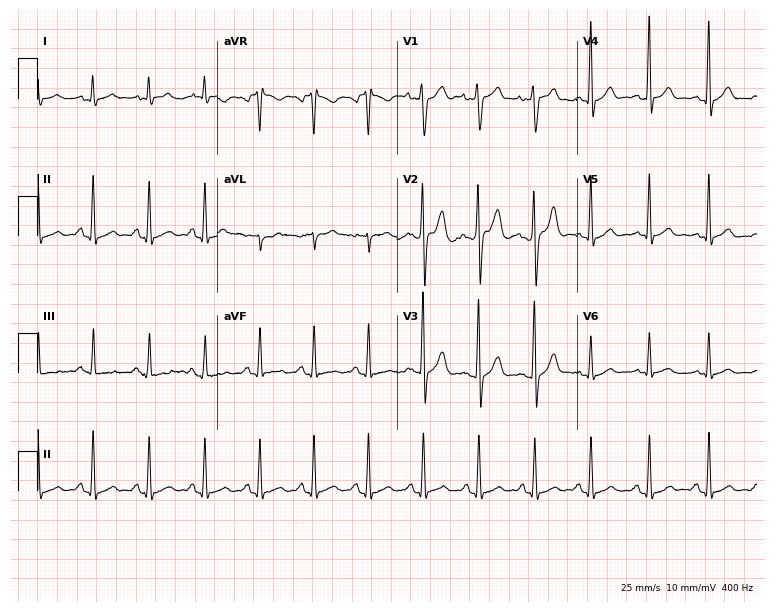
Resting 12-lead electrocardiogram (7.3-second recording at 400 Hz). Patient: a 17-year-old man. The tracing shows sinus tachycardia (a sinus rate of 100 beats per minute or more).